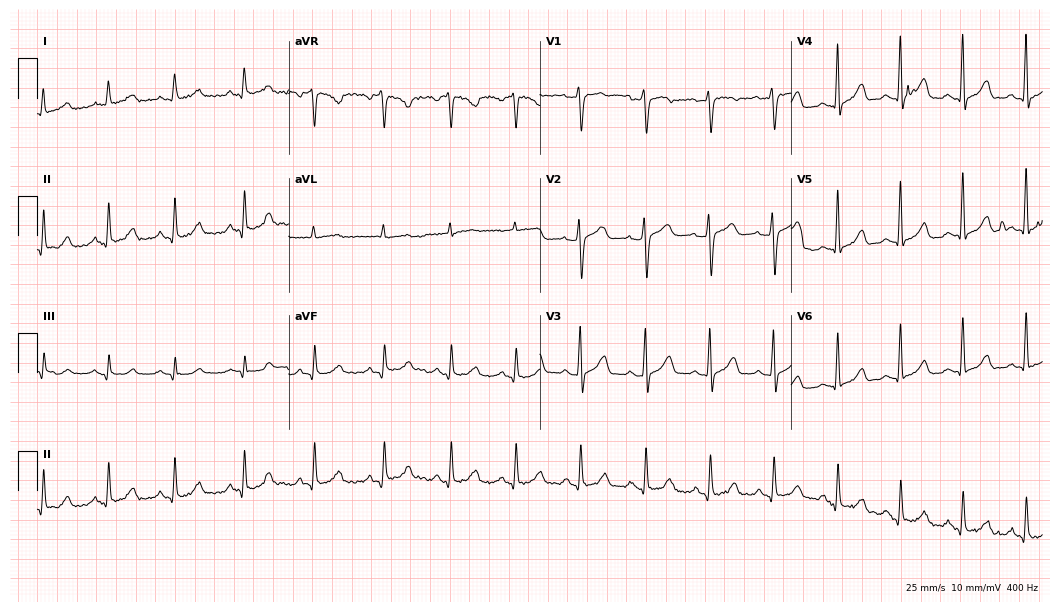
Standard 12-lead ECG recorded from a female patient, 50 years old. Read as a normal ECG.